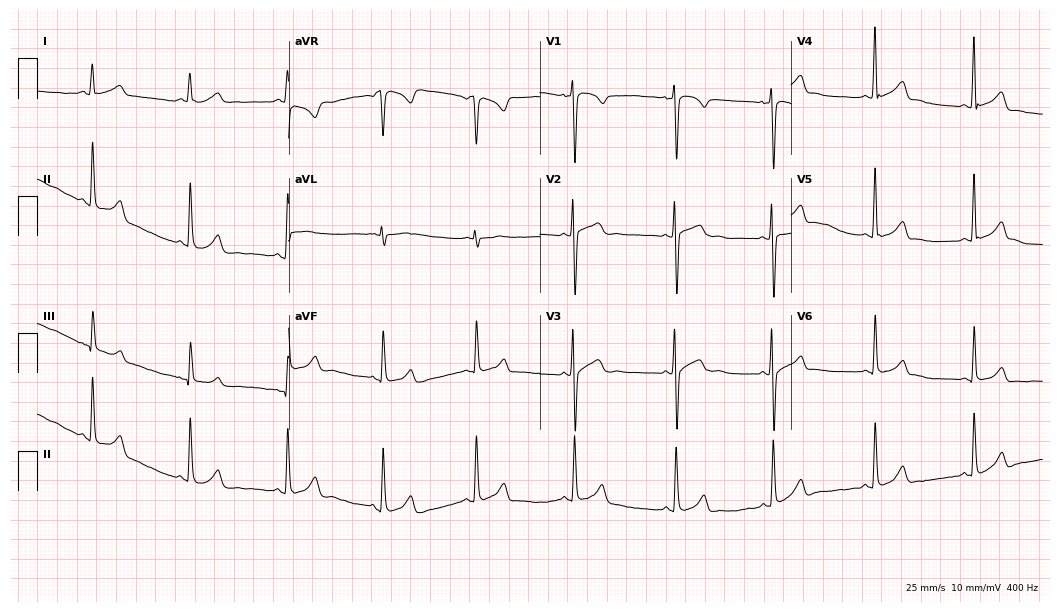
12-lead ECG (10.2-second recording at 400 Hz) from a female, 22 years old. Labelled as a normal ECG.